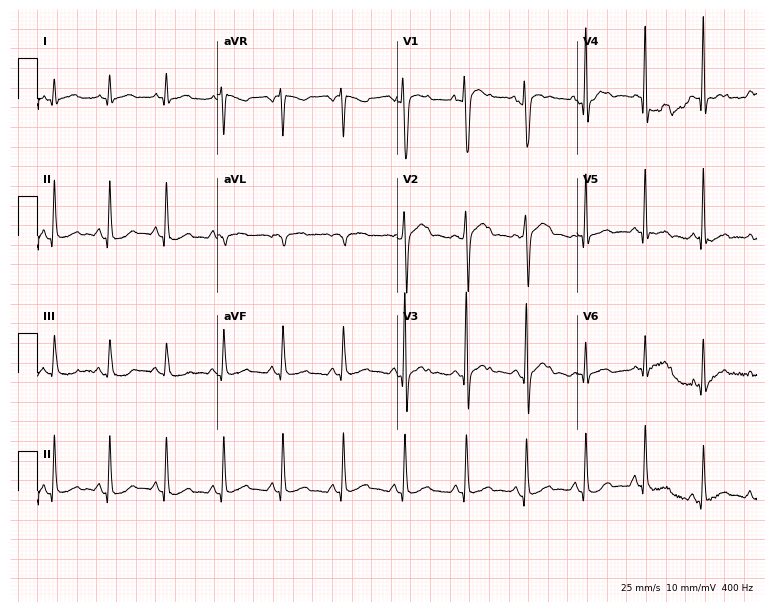
ECG (7.3-second recording at 400 Hz) — a 20-year-old male patient. Labelled as a normal ECG.